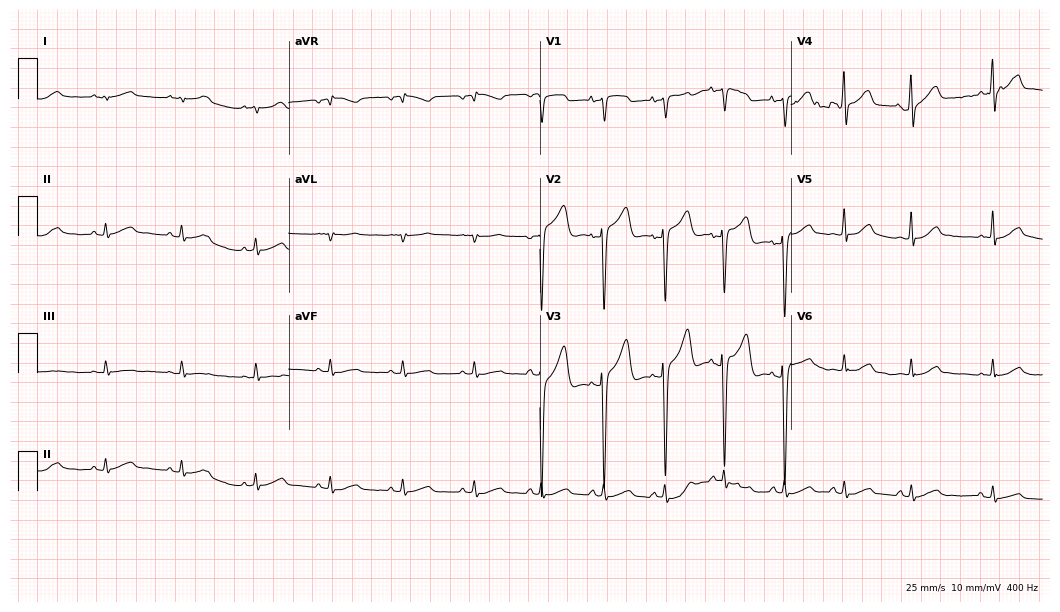
12-lead ECG (10.2-second recording at 400 Hz) from a 30-year-old male. Screened for six findings — first-degree AV block, right bundle branch block, left bundle branch block, sinus bradycardia, atrial fibrillation, sinus tachycardia — none is recorded. Findings outside these six are not listed.